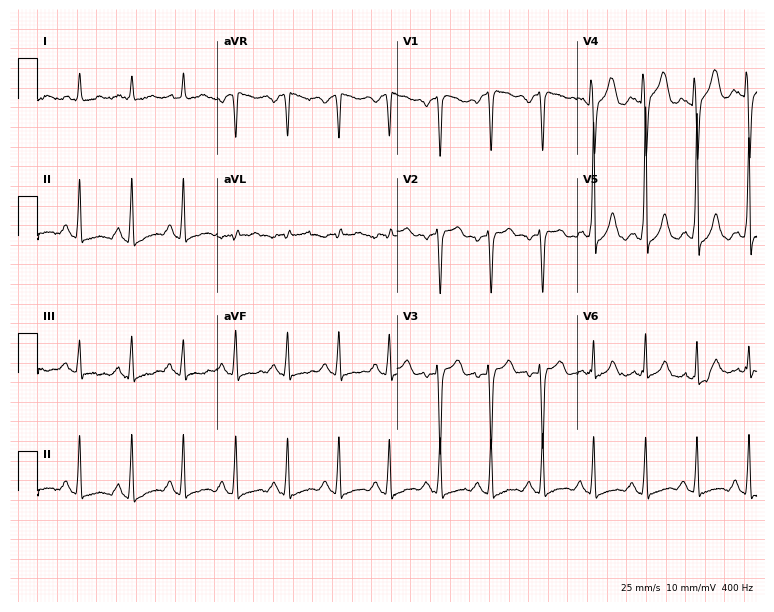
Electrocardiogram (7.3-second recording at 400 Hz), a 44-year-old male patient. Interpretation includes sinus tachycardia (a sinus rate of 100 beats per minute or more).